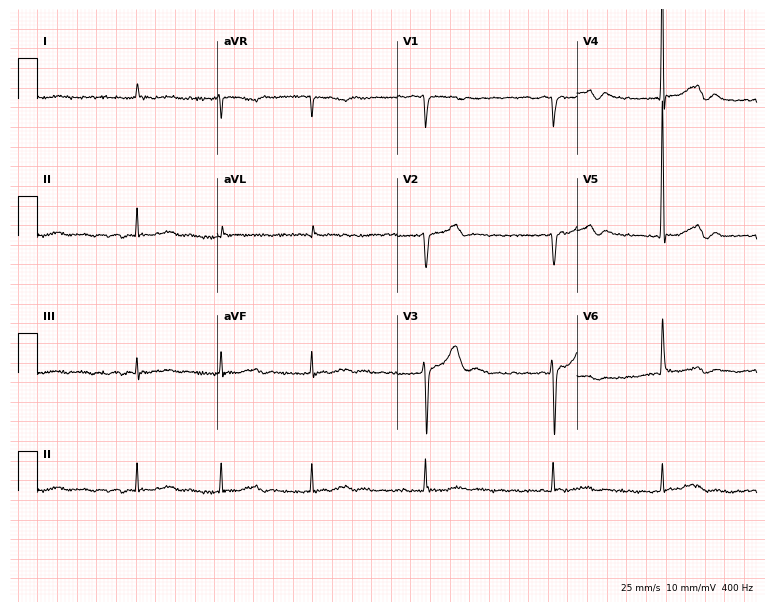
Electrocardiogram, an 85-year-old man. Interpretation includes atrial fibrillation.